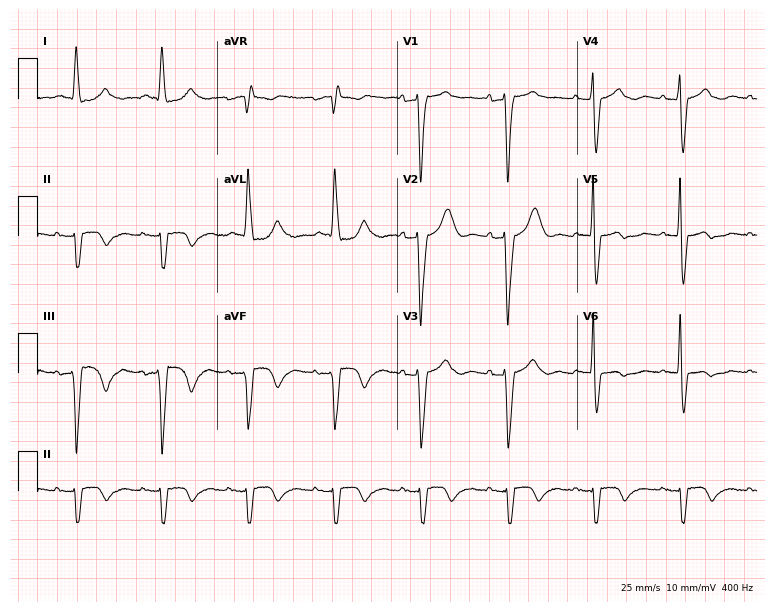
Resting 12-lead electrocardiogram (7.3-second recording at 400 Hz). Patient: a 75-year-old male. The tracing shows left bundle branch block (LBBB).